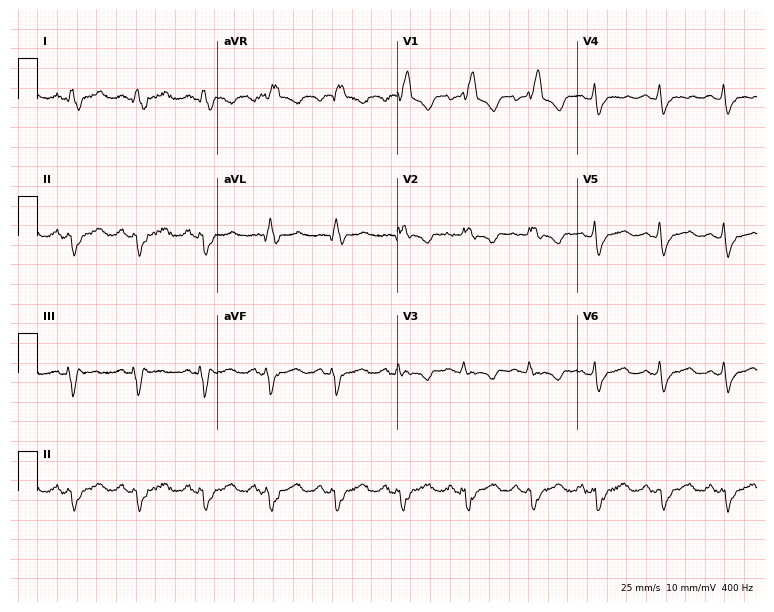
12-lead ECG from a 66-year-old female. Findings include right bundle branch block.